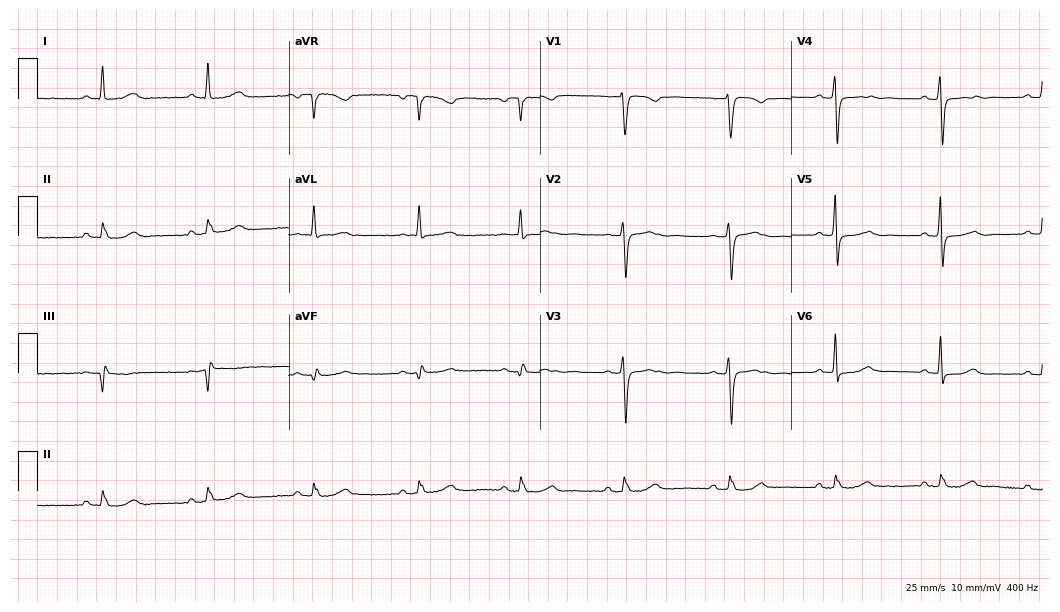
12-lead ECG from a woman, 58 years old. No first-degree AV block, right bundle branch block (RBBB), left bundle branch block (LBBB), sinus bradycardia, atrial fibrillation (AF) or sinus tachycardia recorded for this tracing. Other findings, if any, are not listed.